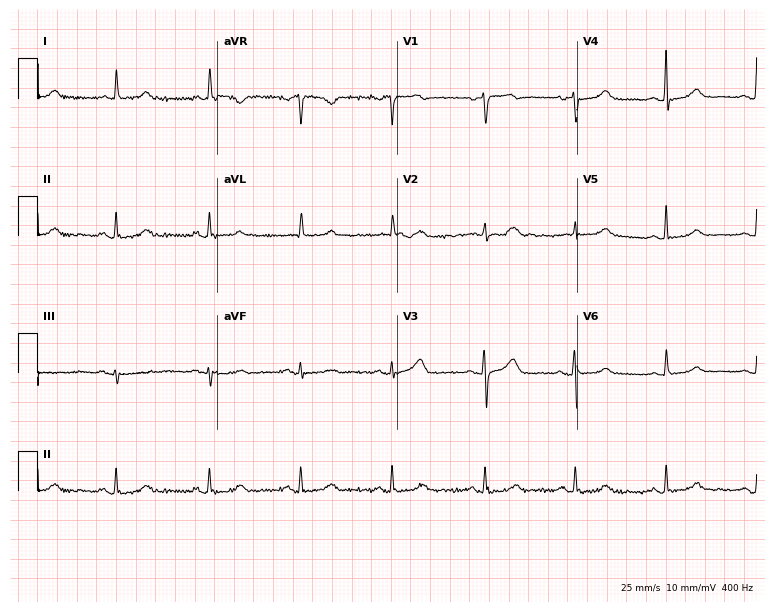
ECG (7.3-second recording at 400 Hz) — a female patient, 84 years old. Screened for six findings — first-degree AV block, right bundle branch block (RBBB), left bundle branch block (LBBB), sinus bradycardia, atrial fibrillation (AF), sinus tachycardia — none is recorded.